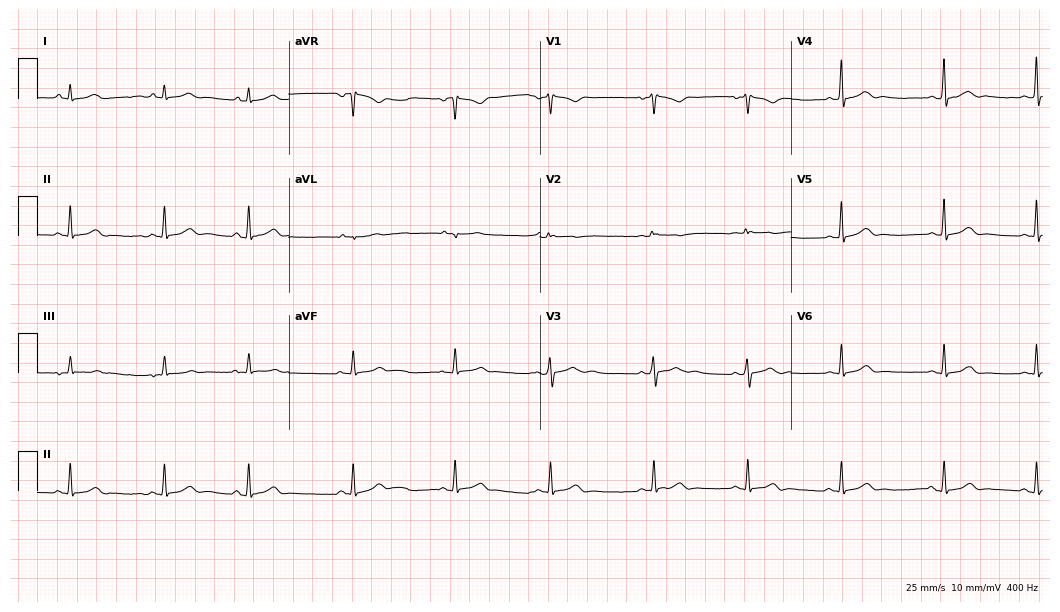
12-lead ECG from a male patient, 20 years old (10.2-second recording at 400 Hz). Recorded interpretation: within normal limits.